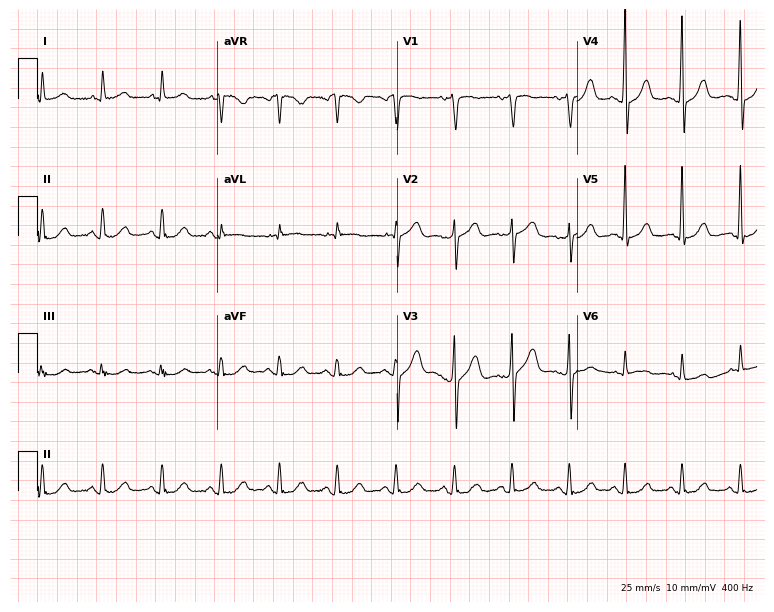
ECG — a 69-year-old female patient. Labelled as a normal ECG.